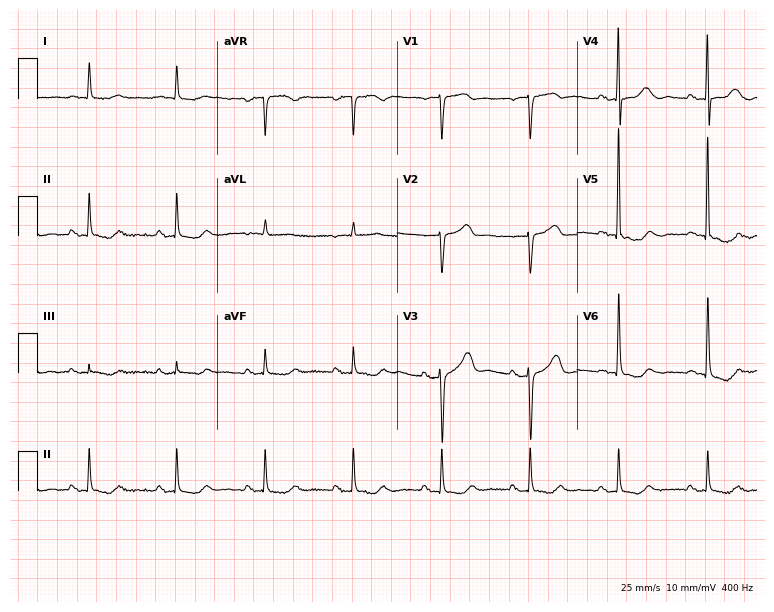
ECG (7.3-second recording at 400 Hz) — a 76-year-old female. Screened for six findings — first-degree AV block, right bundle branch block (RBBB), left bundle branch block (LBBB), sinus bradycardia, atrial fibrillation (AF), sinus tachycardia — none is recorded.